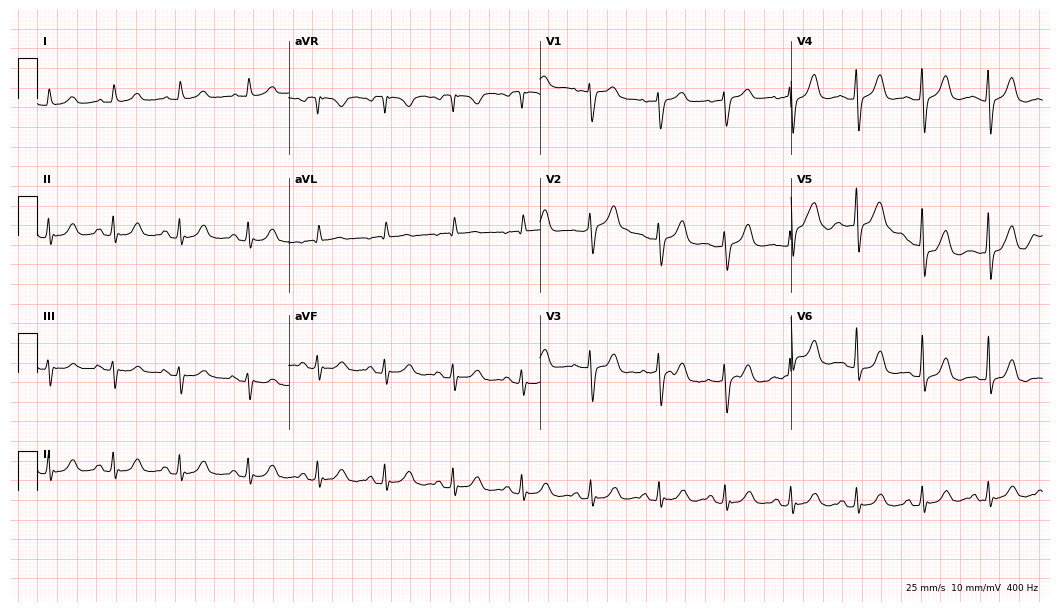
ECG (10.2-second recording at 400 Hz) — an 85-year-old female. Labelled as a normal ECG.